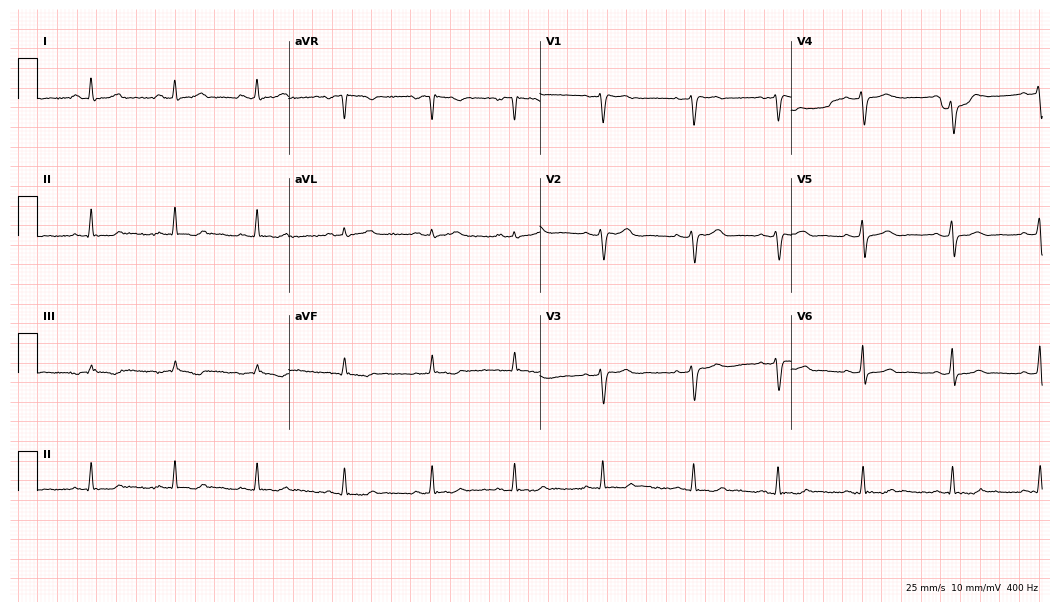
Electrocardiogram, a 49-year-old woman. Of the six screened findings (first-degree AV block, right bundle branch block, left bundle branch block, sinus bradycardia, atrial fibrillation, sinus tachycardia), none is recorded. Other findings, if any, are not listed.